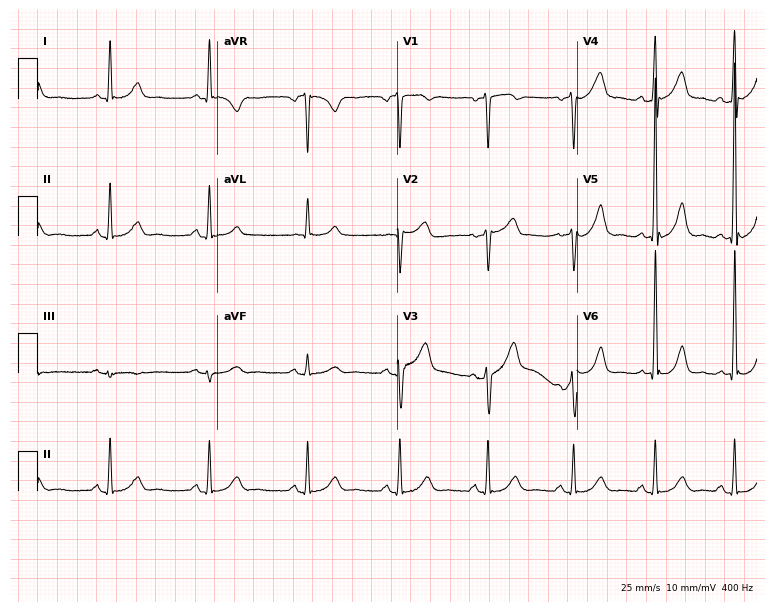
Electrocardiogram, a 62-year-old male patient. Of the six screened findings (first-degree AV block, right bundle branch block (RBBB), left bundle branch block (LBBB), sinus bradycardia, atrial fibrillation (AF), sinus tachycardia), none is recorded. Findings outside these six are not listed.